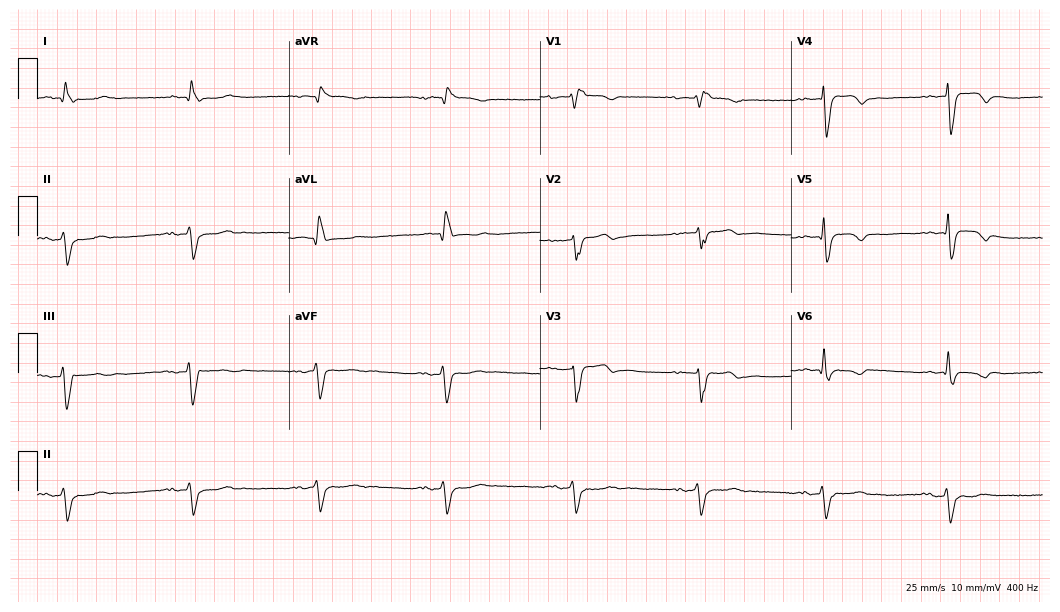
Standard 12-lead ECG recorded from a 75-year-old male patient. The tracing shows first-degree AV block, right bundle branch block, sinus bradycardia (a sinus rate of 50 beats per minute or less).